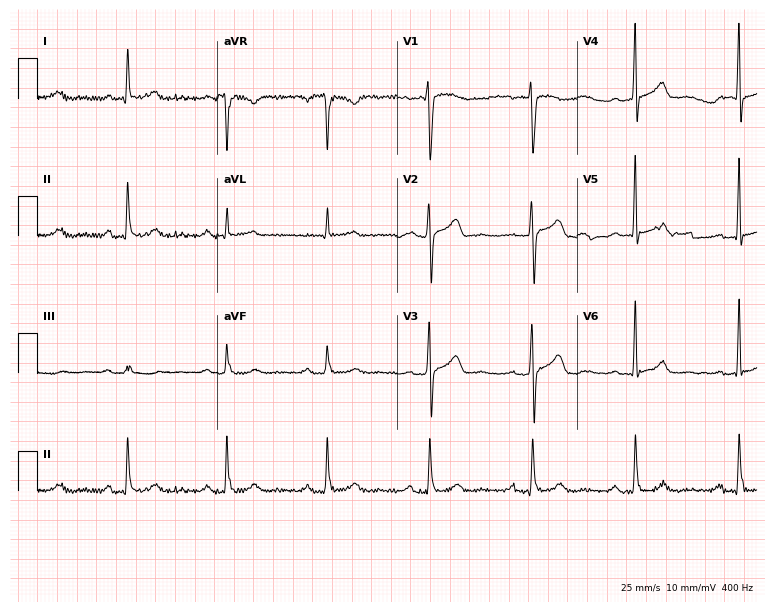
Standard 12-lead ECG recorded from a woman, 55 years old. None of these six findings is recorded: first-degree AV block, right bundle branch block, left bundle branch block, sinus bradycardia, atrial fibrillation, sinus tachycardia.